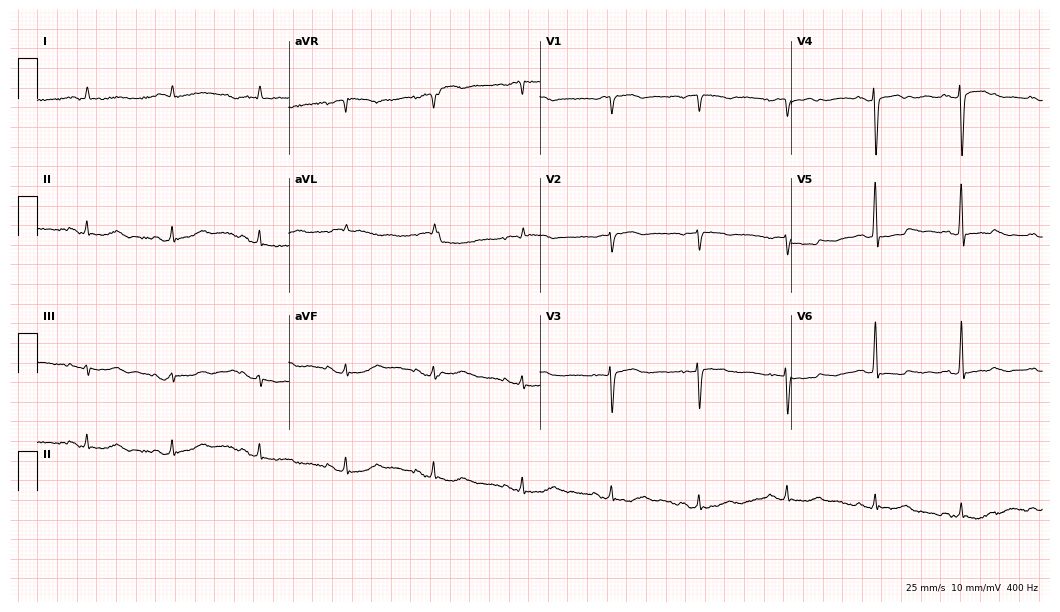
ECG (10.2-second recording at 400 Hz) — an 81-year-old female patient. Screened for six findings — first-degree AV block, right bundle branch block, left bundle branch block, sinus bradycardia, atrial fibrillation, sinus tachycardia — none is recorded.